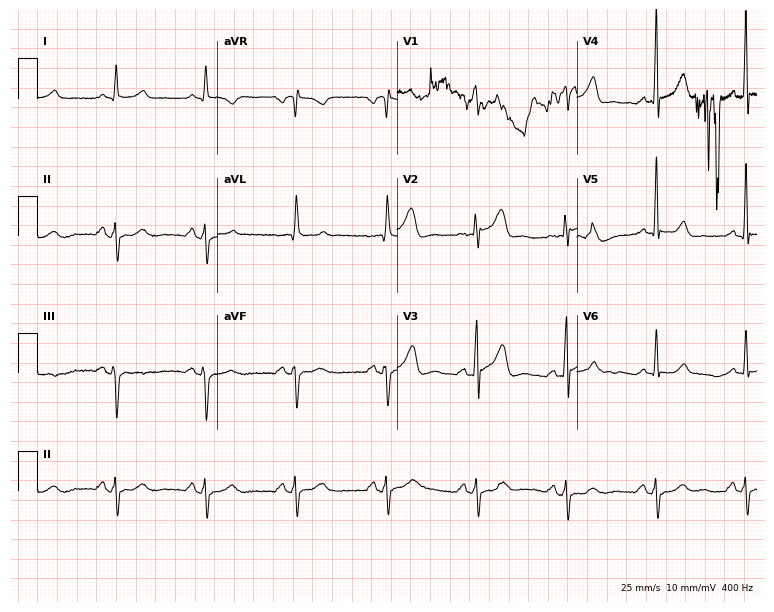
Standard 12-lead ECG recorded from a male, 78 years old. None of these six findings is recorded: first-degree AV block, right bundle branch block, left bundle branch block, sinus bradycardia, atrial fibrillation, sinus tachycardia. Only these six findings were labelled.